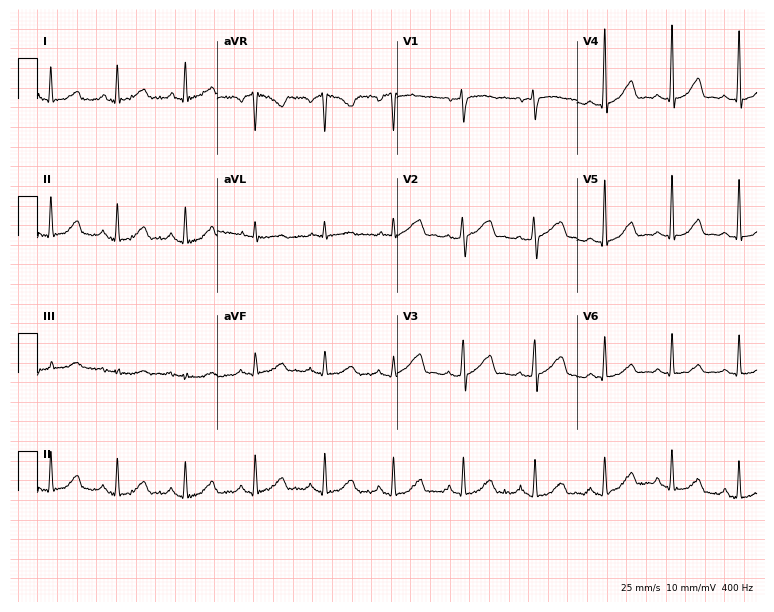
12-lead ECG (7.3-second recording at 400 Hz) from a female patient, 57 years old. Labelled as a normal ECG.